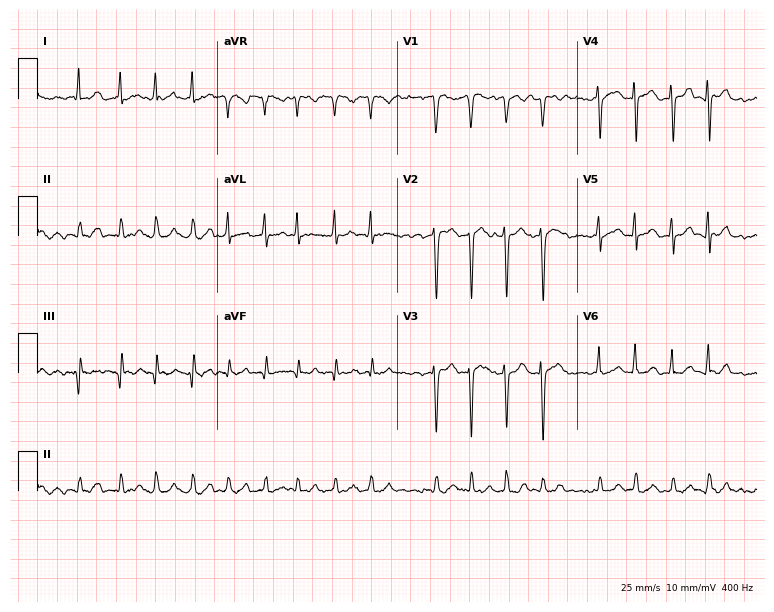
Resting 12-lead electrocardiogram (7.3-second recording at 400 Hz). Patient: a female, 79 years old. The tracing shows atrial fibrillation (AF), sinus tachycardia (a sinus rate of 100 beats per minute or more).